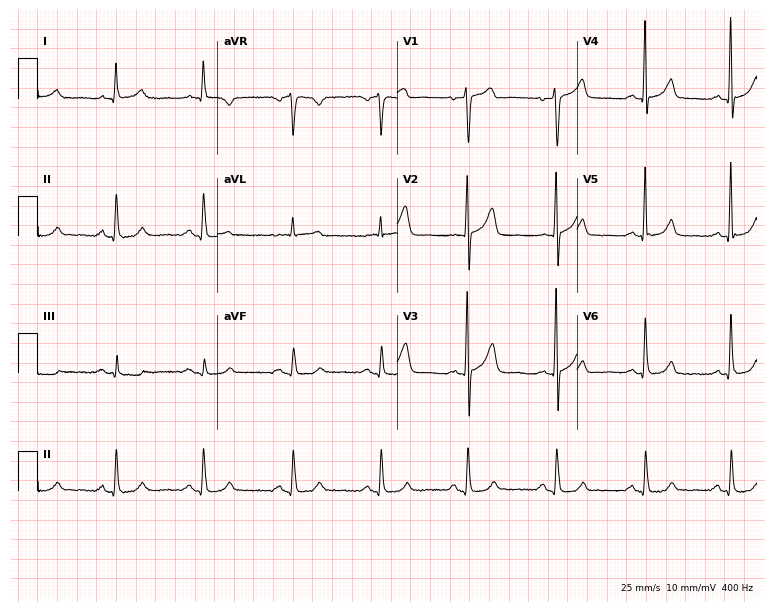
ECG — a 62-year-old man. Labelled as a normal ECG.